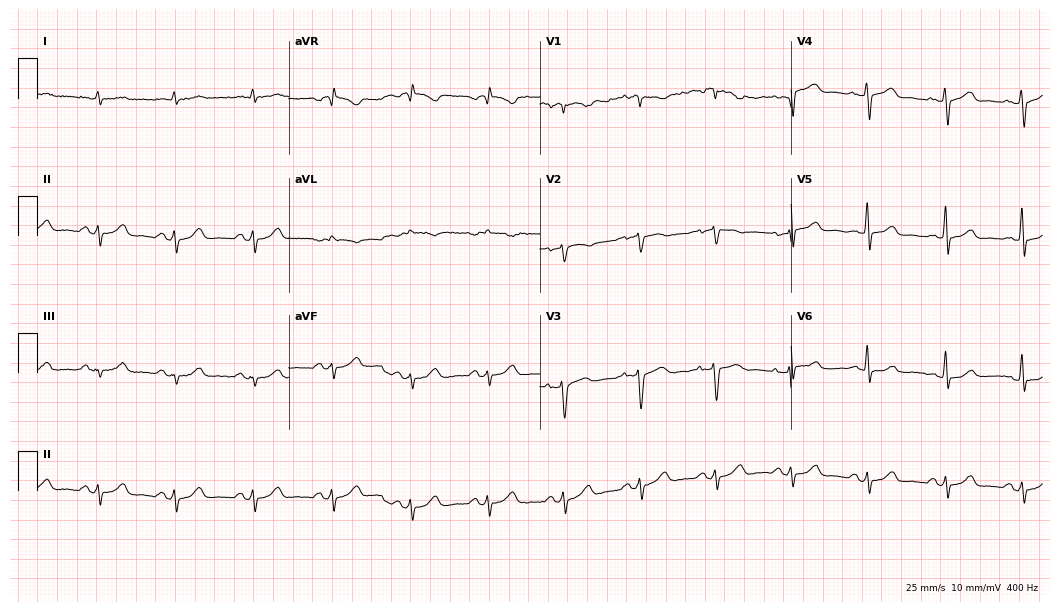
Standard 12-lead ECG recorded from a male, 75 years old. None of these six findings is recorded: first-degree AV block, right bundle branch block, left bundle branch block, sinus bradycardia, atrial fibrillation, sinus tachycardia.